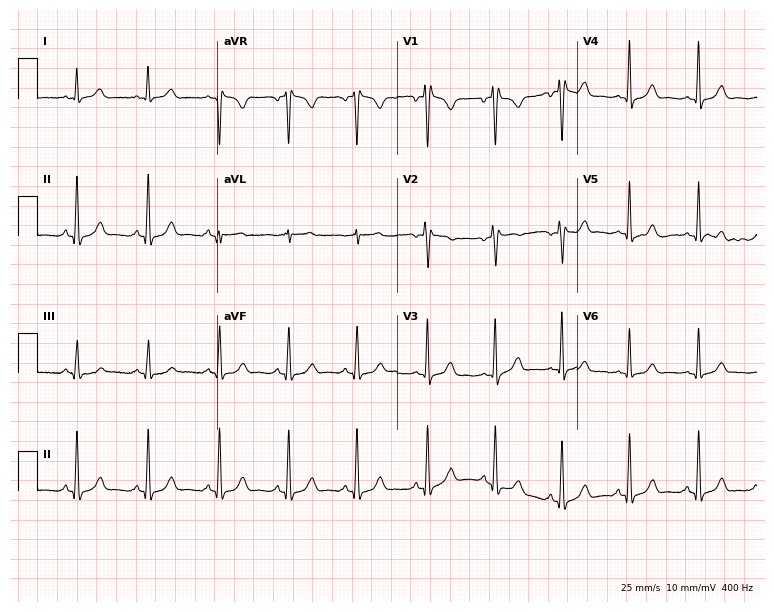
ECG — a 26-year-old woman. Screened for six findings — first-degree AV block, right bundle branch block (RBBB), left bundle branch block (LBBB), sinus bradycardia, atrial fibrillation (AF), sinus tachycardia — none is recorded. Only these six findings were labelled.